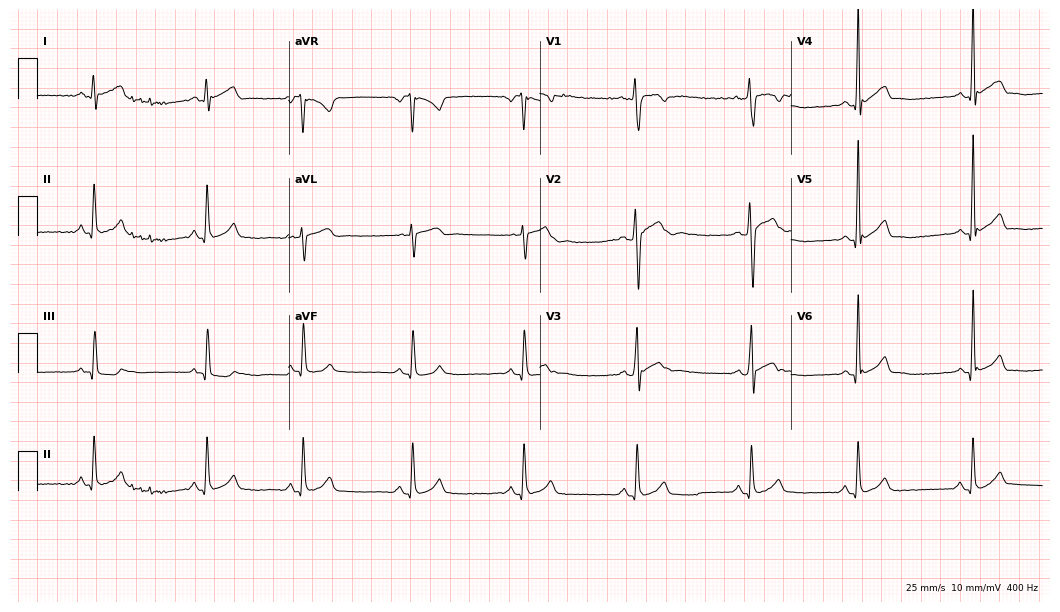
12-lead ECG from a man, 18 years old. No first-degree AV block, right bundle branch block, left bundle branch block, sinus bradycardia, atrial fibrillation or sinus tachycardia recorded for this tracing.